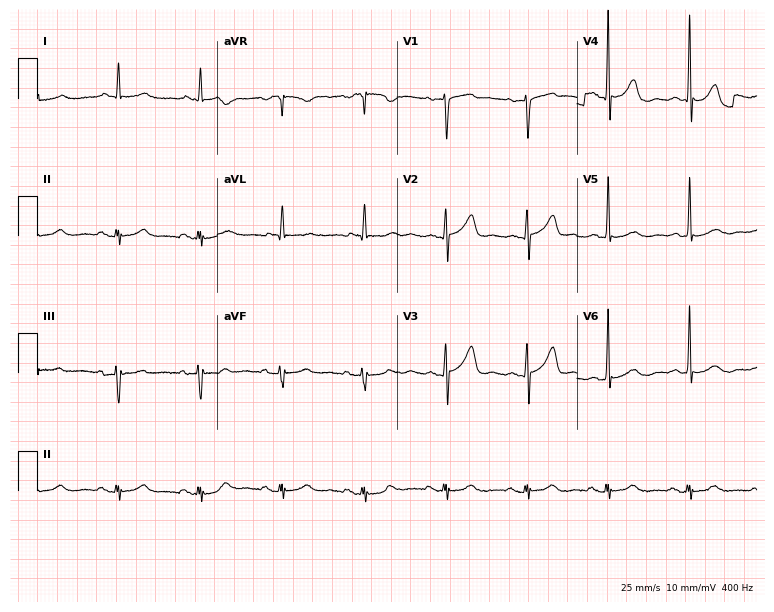
ECG — a male, 62 years old. Screened for six findings — first-degree AV block, right bundle branch block (RBBB), left bundle branch block (LBBB), sinus bradycardia, atrial fibrillation (AF), sinus tachycardia — none is recorded.